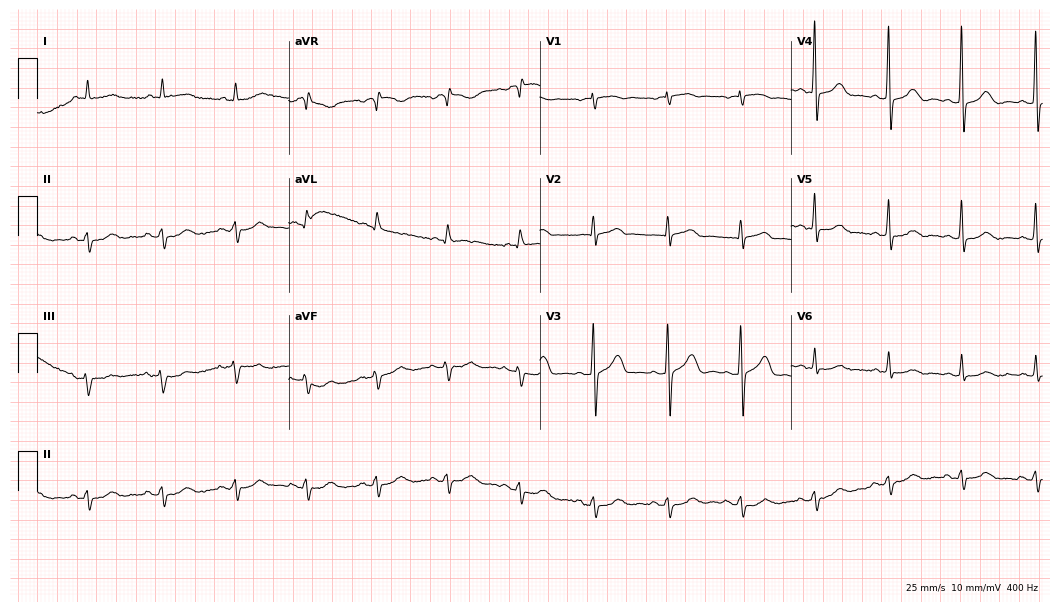
Resting 12-lead electrocardiogram. Patient: a 73-year-old female. None of these six findings is recorded: first-degree AV block, right bundle branch block (RBBB), left bundle branch block (LBBB), sinus bradycardia, atrial fibrillation (AF), sinus tachycardia.